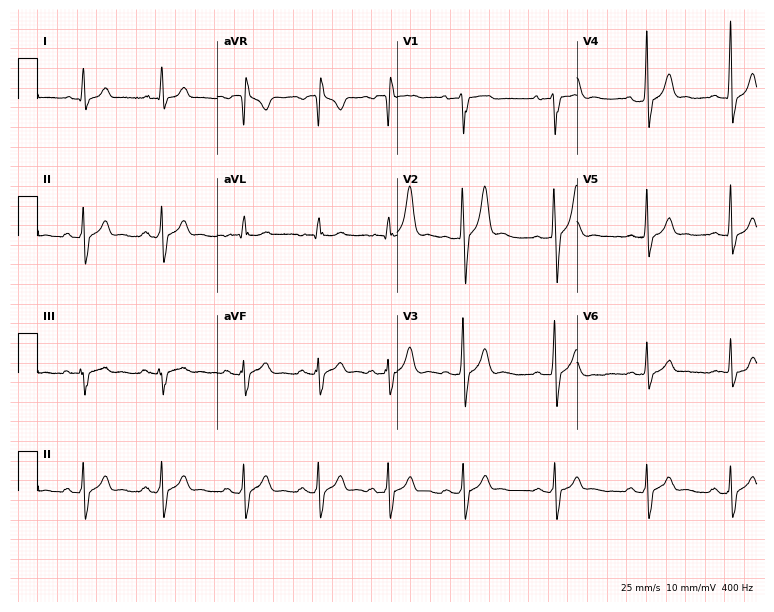
12-lead ECG from an 18-year-old male patient. Screened for six findings — first-degree AV block, right bundle branch block, left bundle branch block, sinus bradycardia, atrial fibrillation, sinus tachycardia — none is recorded. Only these six findings were labelled.